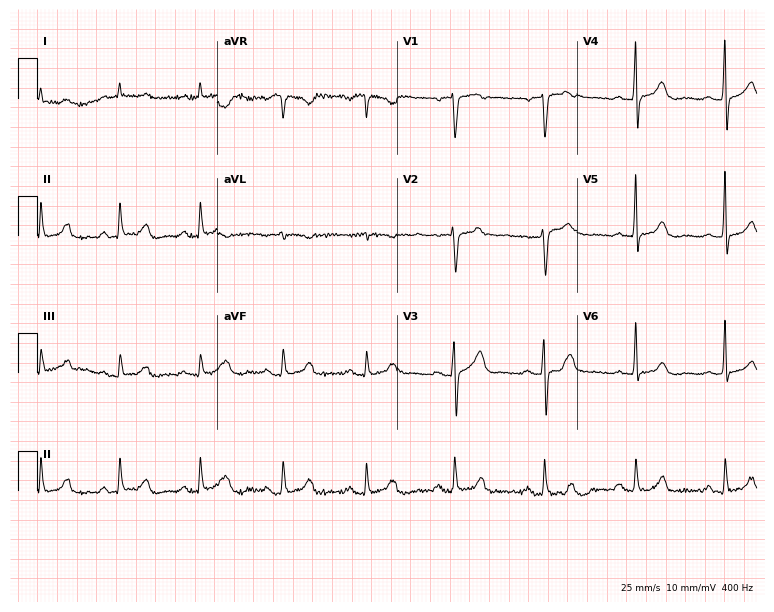
Resting 12-lead electrocardiogram. Patient: a 72-year-old male. Read as a normal ECG.